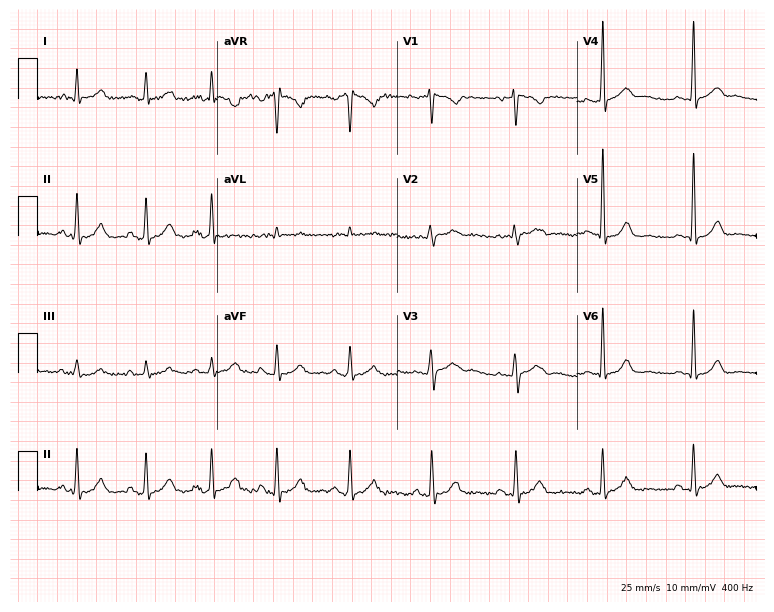
12-lead ECG from a female patient, 44 years old. Screened for six findings — first-degree AV block, right bundle branch block, left bundle branch block, sinus bradycardia, atrial fibrillation, sinus tachycardia — none is recorded.